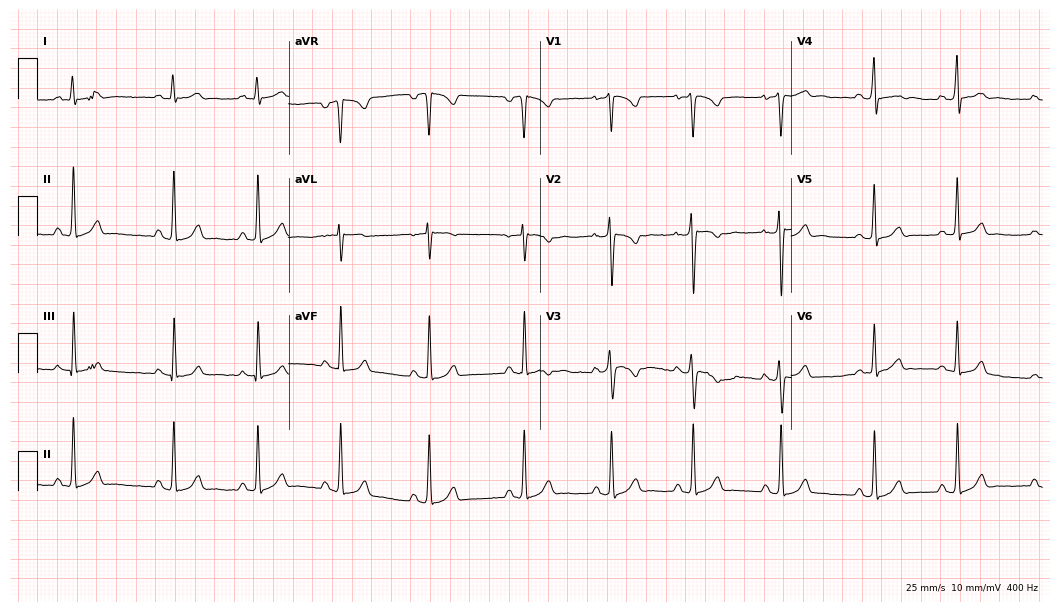
12-lead ECG from a woman, 22 years old. Labelled as a normal ECG.